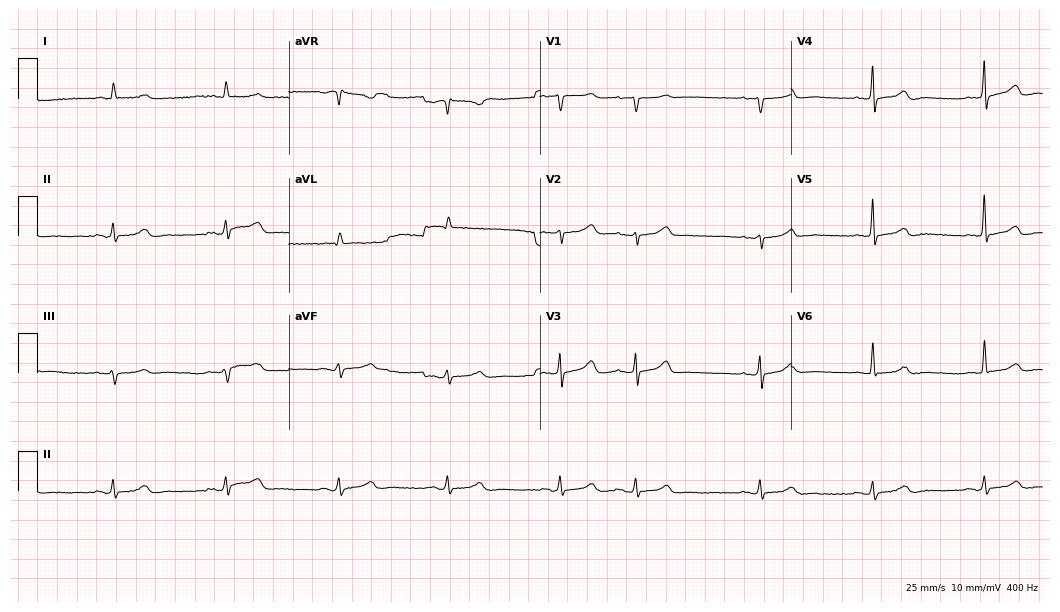
Electrocardiogram, an 85-year-old male. Overall reading on record: normal ECG.